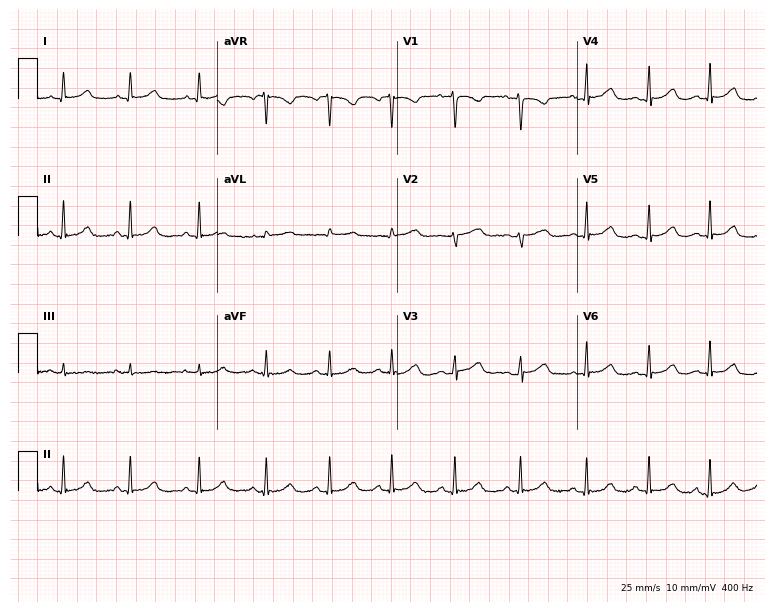
Electrocardiogram, a female patient, 26 years old. Overall reading on record: normal ECG.